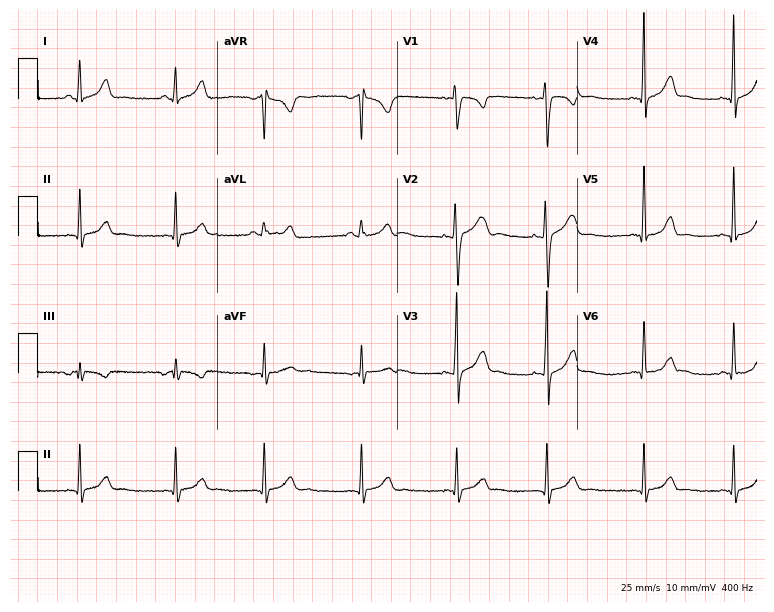
ECG — a woman, 29 years old. Labelled as a normal ECG.